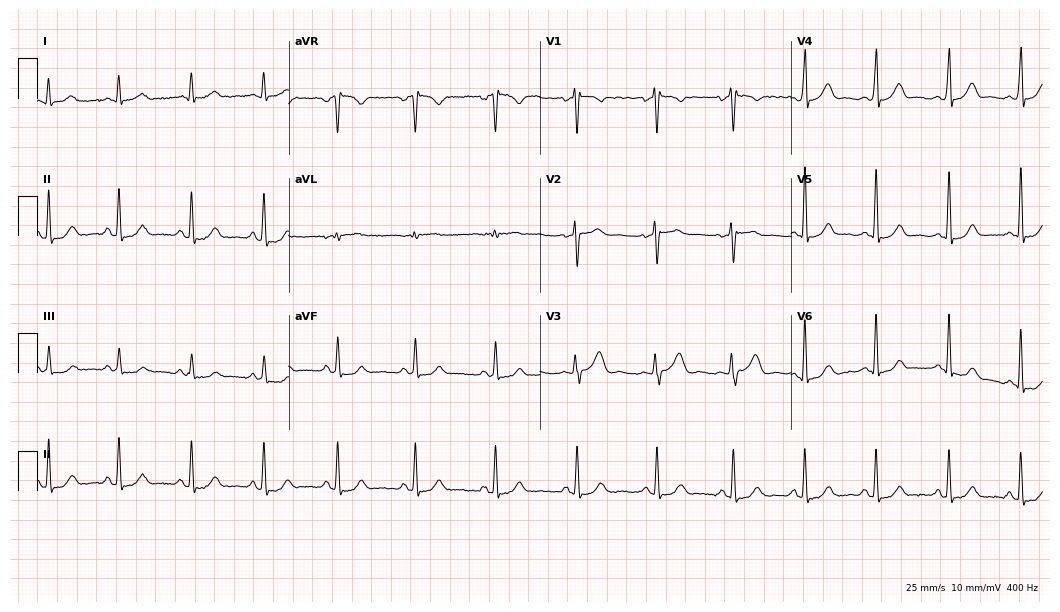
ECG (10.2-second recording at 400 Hz) — a woman, 34 years old. Screened for six findings — first-degree AV block, right bundle branch block, left bundle branch block, sinus bradycardia, atrial fibrillation, sinus tachycardia — none is recorded.